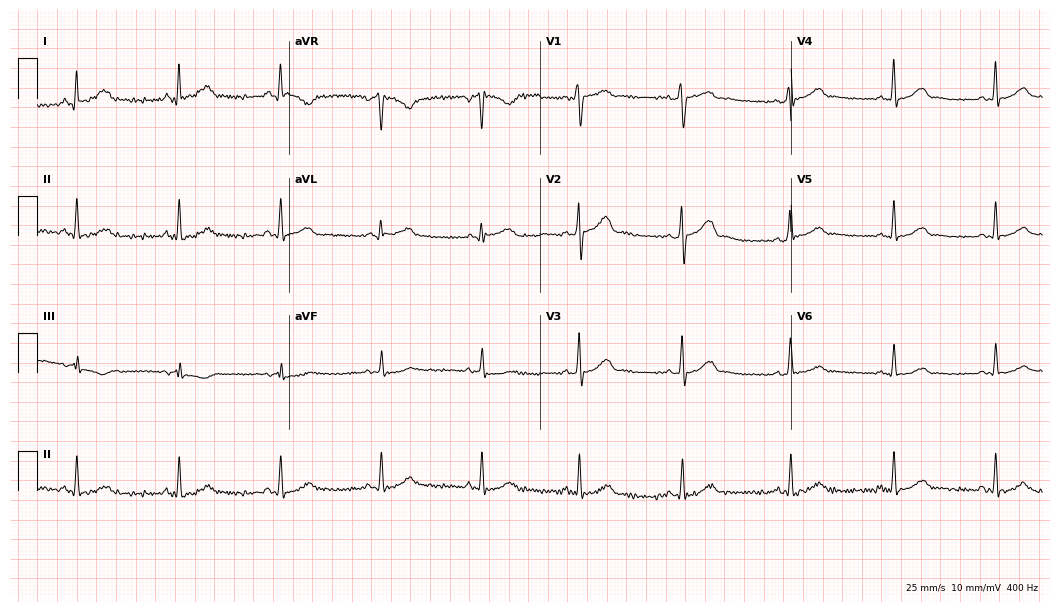
ECG — a 34-year-old man. Labelled as a normal ECG.